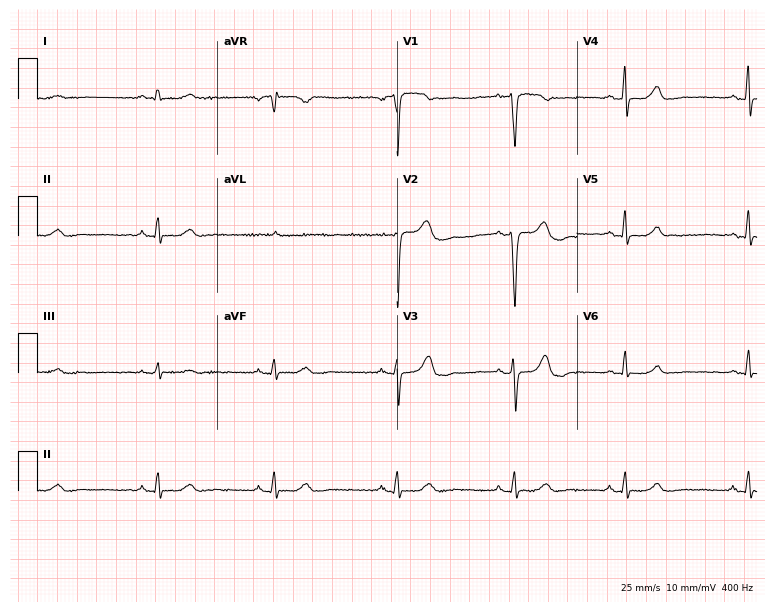
Resting 12-lead electrocardiogram. Patient: a 46-year-old female. None of these six findings is recorded: first-degree AV block, right bundle branch block, left bundle branch block, sinus bradycardia, atrial fibrillation, sinus tachycardia. Findings outside these six are not listed.